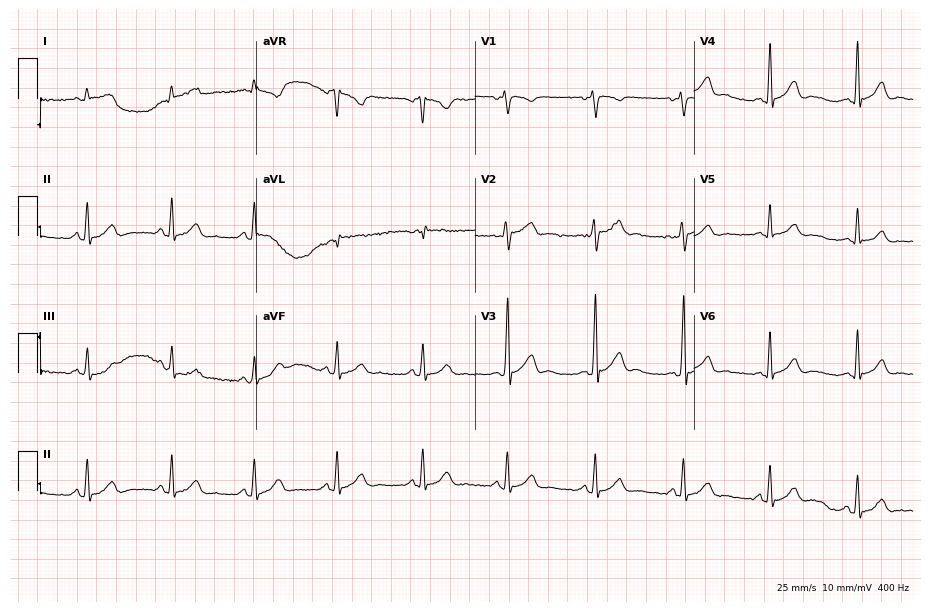
ECG — a male patient, 44 years old. Screened for six findings — first-degree AV block, right bundle branch block, left bundle branch block, sinus bradycardia, atrial fibrillation, sinus tachycardia — none is recorded. Other findings, if any, are not listed.